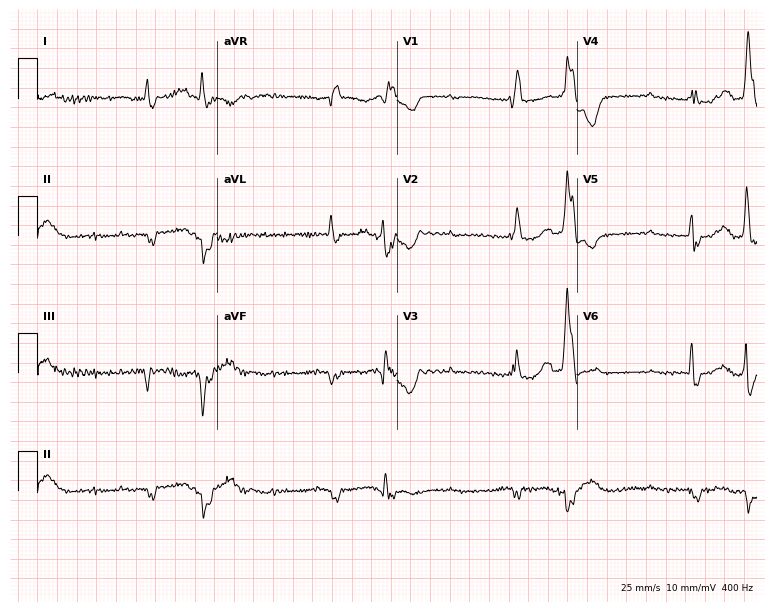
Standard 12-lead ECG recorded from a 69-year-old female patient (7.3-second recording at 400 Hz). None of these six findings is recorded: first-degree AV block, right bundle branch block (RBBB), left bundle branch block (LBBB), sinus bradycardia, atrial fibrillation (AF), sinus tachycardia.